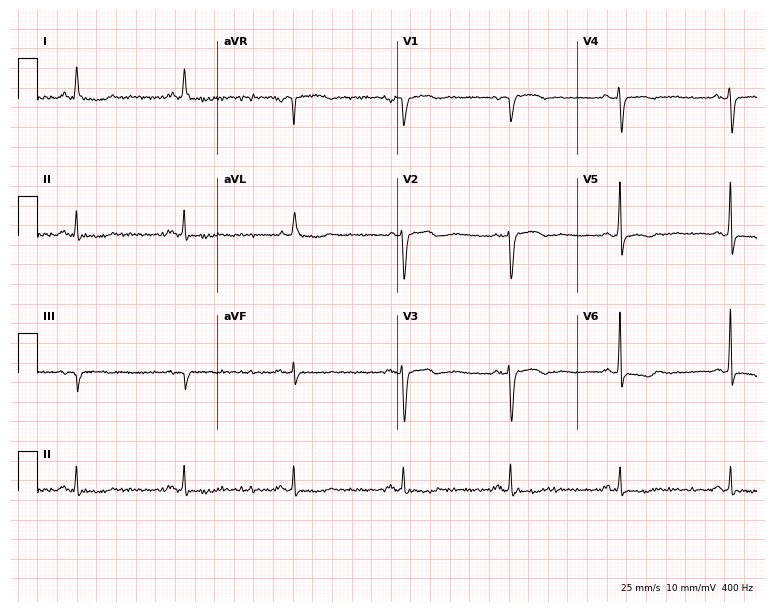
ECG (7.3-second recording at 400 Hz) — a woman, 71 years old. Screened for six findings — first-degree AV block, right bundle branch block, left bundle branch block, sinus bradycardia, atrial fibrillation, sinus tachycardia — none is recorded. Findings outside these six are not listed.